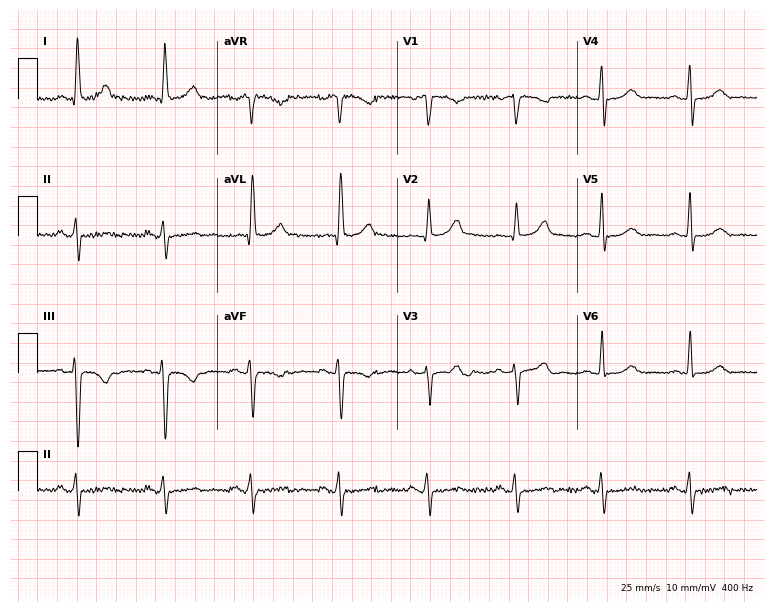
12-lead ECG from a female patient, 84 years old (7.3-second recording at 400 Hz). Recorded interpretation: within normal limits.